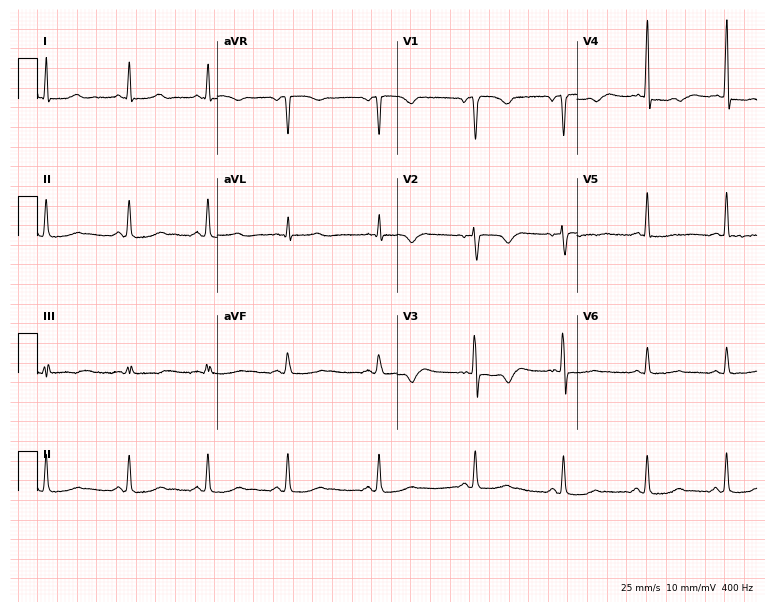
Resting 12-lead electrocardiogram. Patient: a female, 38 years old. None of these six findings is recorded: first-degree AV block, right bundle branch block, left bundle branch block, sinus bradycardia, atrial fibrillation, sinus tachycardia.